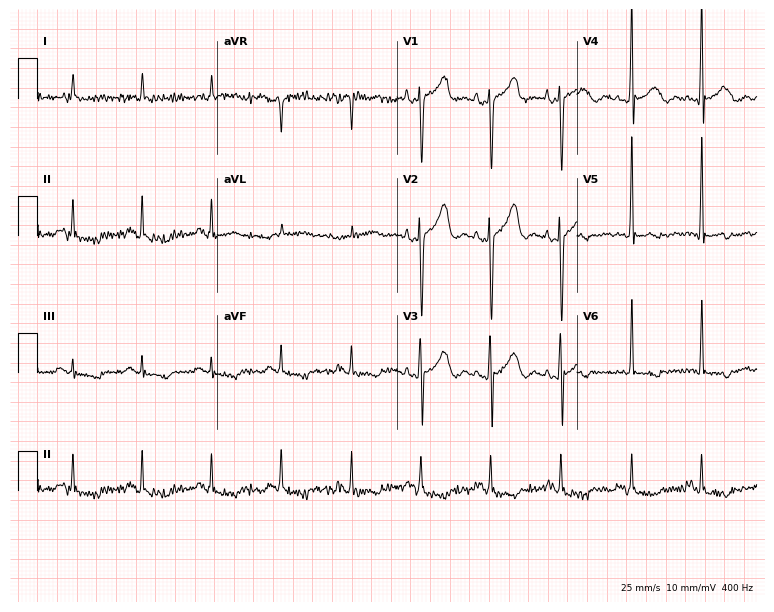
Standard 12-lead ECG recorded from a man, 71 years old. None of these six findings is recorded: first-degree AV block, right bundle branch block (RBBB), left bundle branch block (LBBB), sinus bradycardia, atrial fibrillation (AF), sinus tachycardia.